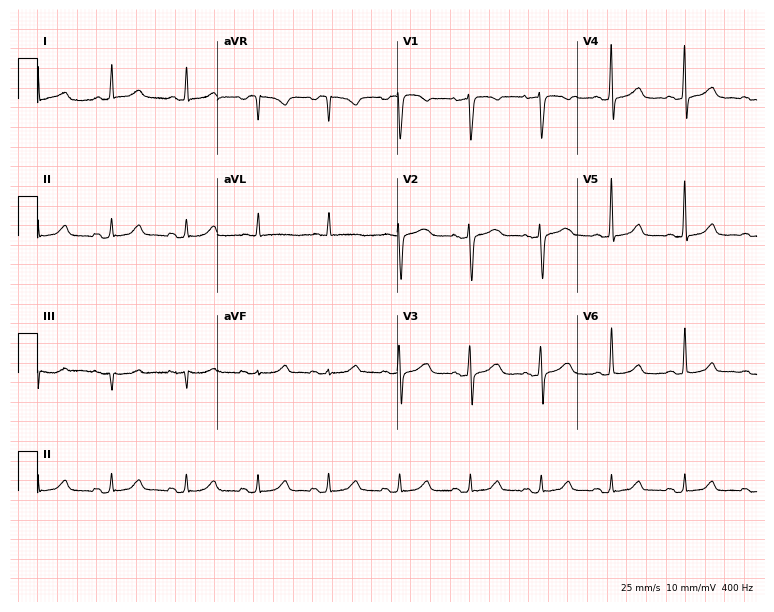
Standard 12-lead ECG recorded from a 46-year-old female patient (7.3-second recording at 400 Hz). None of these six findings is recorded: first-degree AV block, right bundle branch block (RBBB), left bundle branch block (LBBB), sinus bradycardia, atrial fibrillation (AF), sinus tachycardia. Only these six findings were labelled.